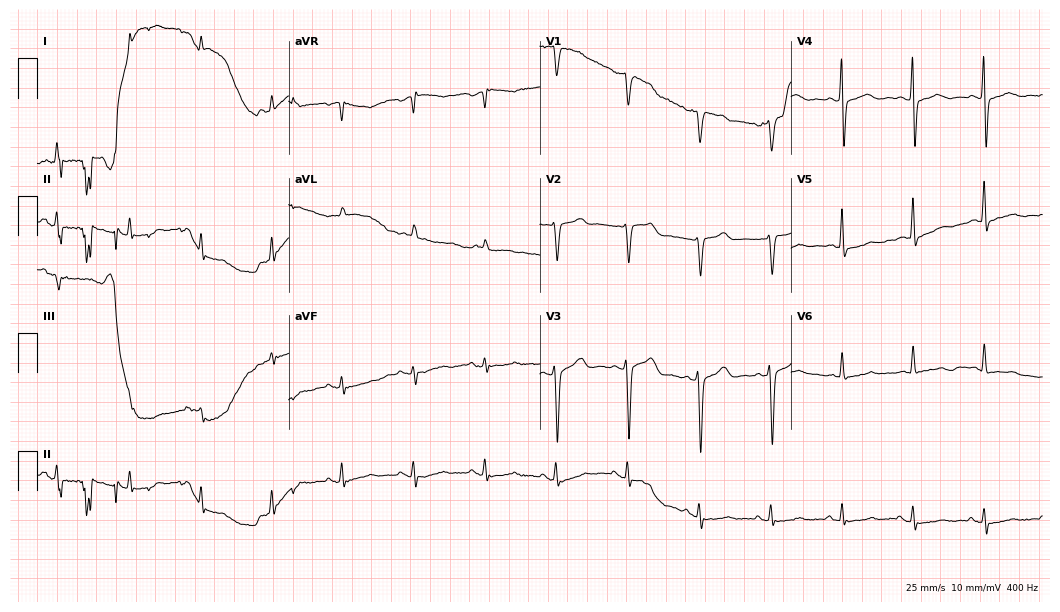
12-lead ECG (10.2-second recording at 400 Hz) from a 73-year-old man. Screened for six findings — first-degree AV block, right bundle branch block, left bundle branch block, sinus bradycardia, atrial fibrillation, sinus tachycardia — none is recorded.